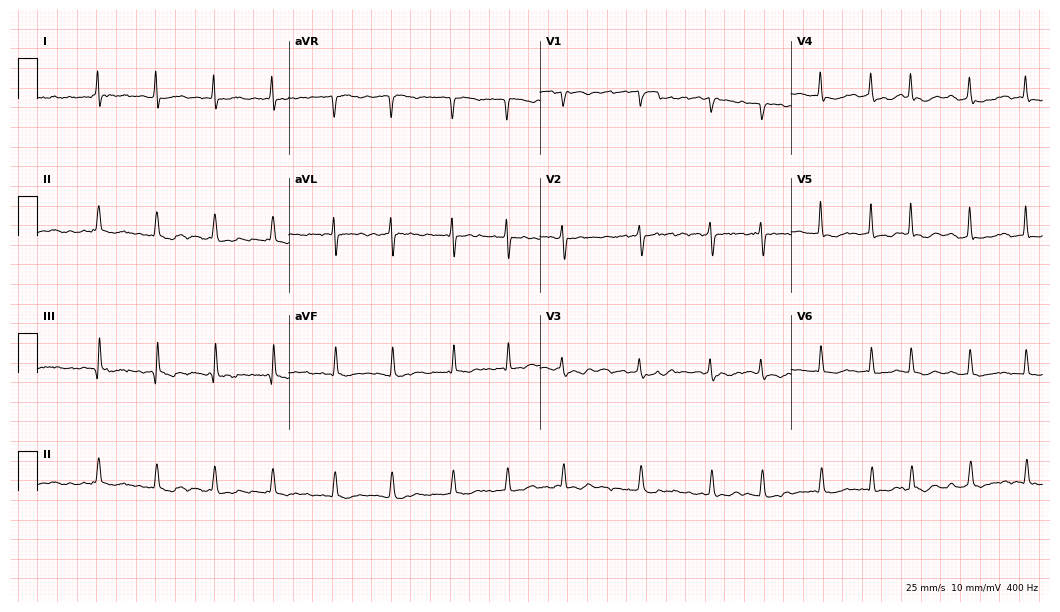
12-lead ECG from a 79-year-old woman. Shows atrial fibrillation (AF).